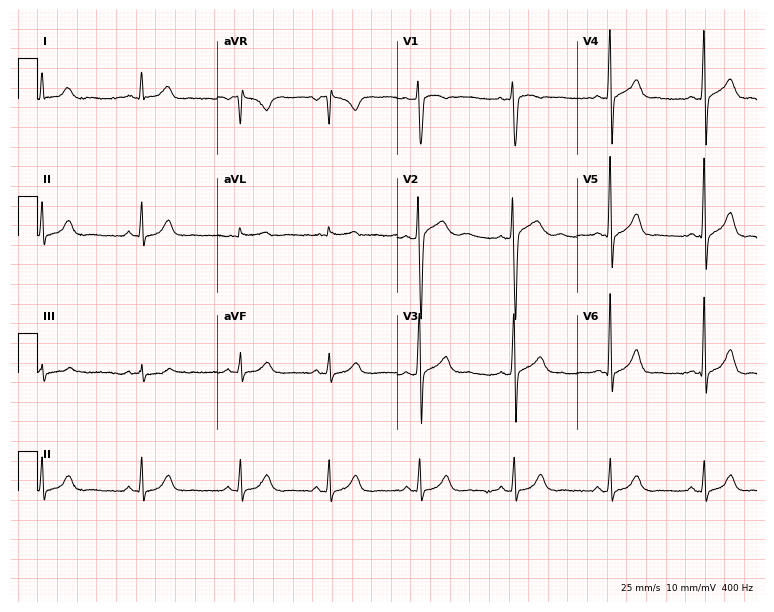
12-lead ECG from a 23-year-old male. Recorded interpretation: within normal limits.